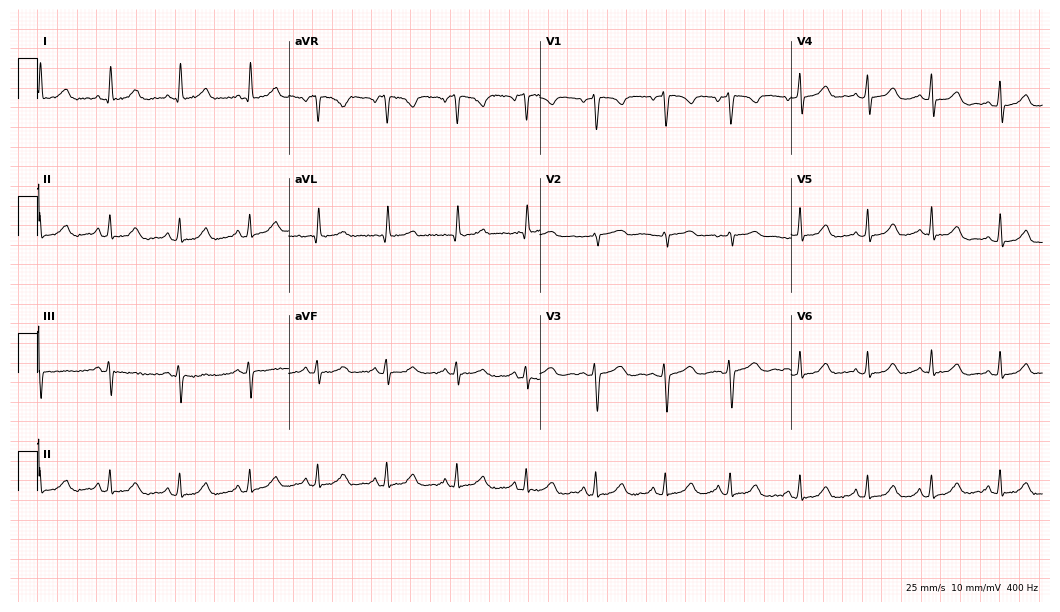
Electrocardiogram (10.2-second recording at 400 Hz), a 39-year-old female. Overall reading on record: normal ECG.